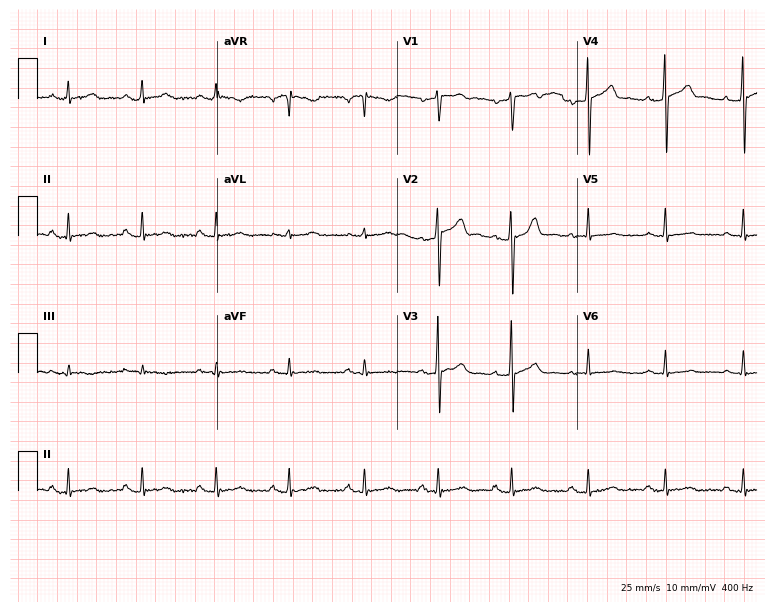
ECG (7.3-second recording at 400 Hz) — a 39-year-old male. Screened for six findings — first-degree AV block, right bundle branch block, left bundle branch block, sinus bradycardia, atrial fibrillation, sinus tachycardia — none is recorded. Other findings, if any, are not listed.